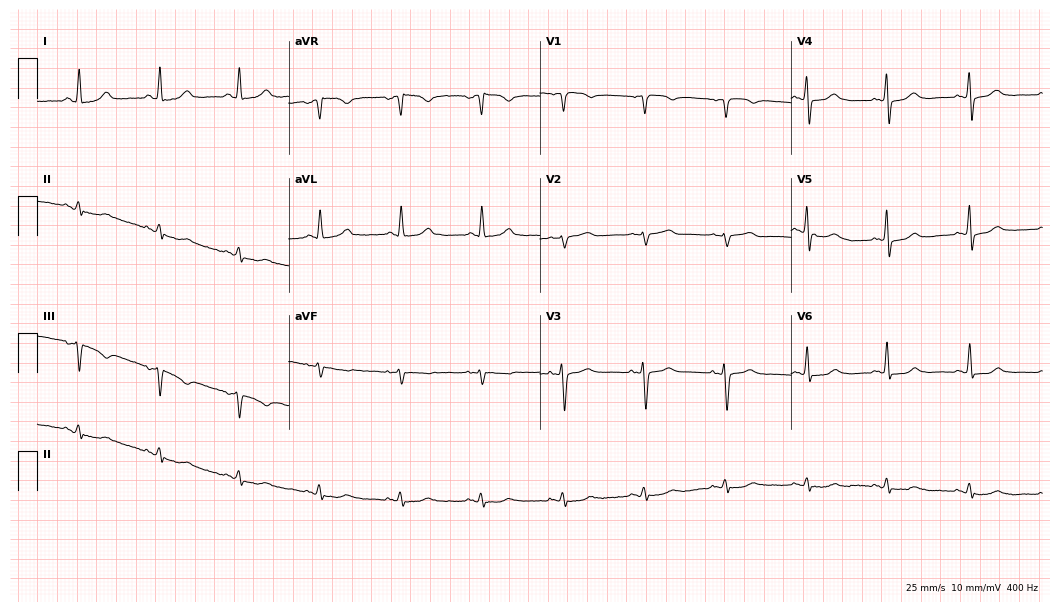
Standard 12-lead ECG recorded from a 68-year-old female. Read as a normal ECG.